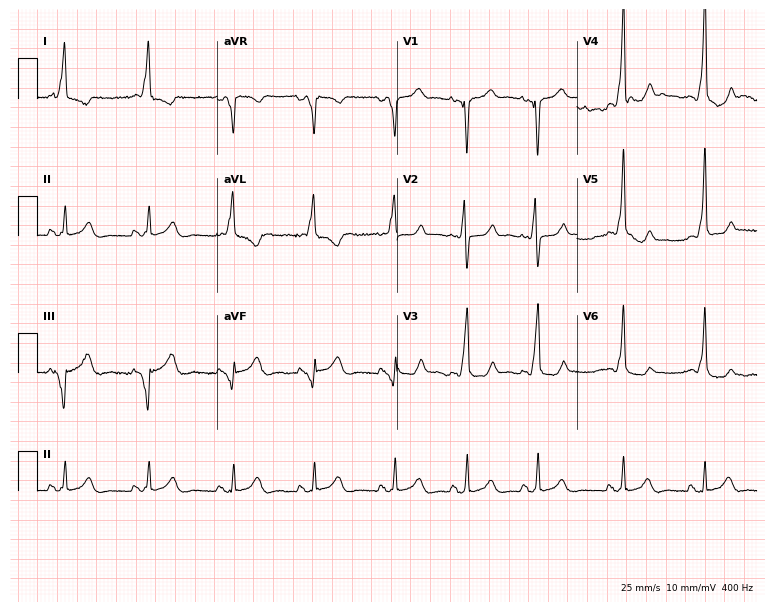
Standard 12-lead ECG recorded from a woman, 29 years old. None of these six findings is recorded: first-degree AV block, right bundle branch block (RBBB), left bundle branch block (LBBB), sinus bradycardia, atrial fibrillation (AF), sinus tachycardia.